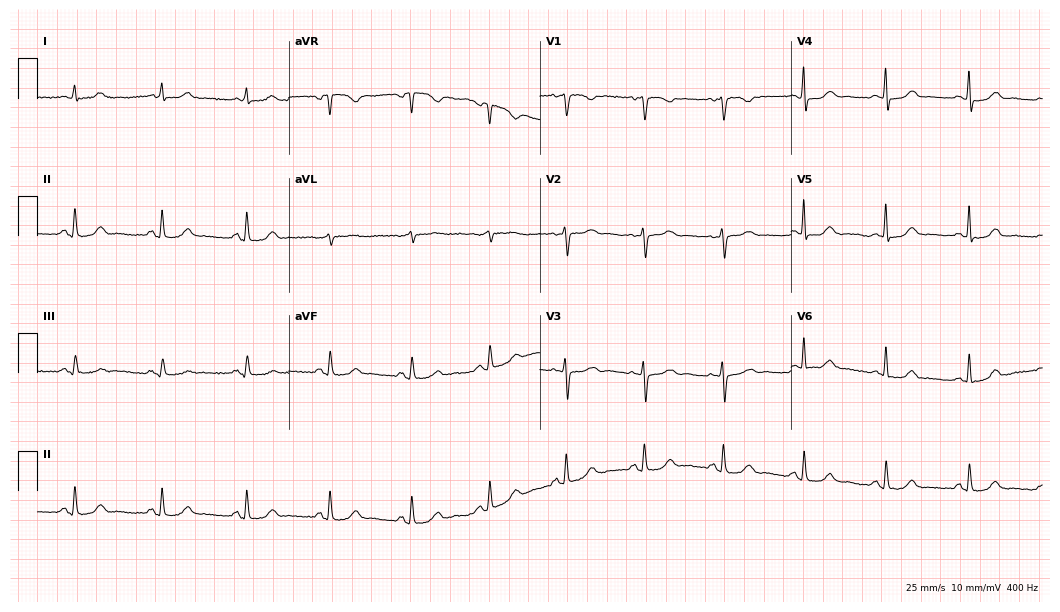
Resting 12-lead electrocardiogram (10.2-second recording at 400 Hz). Patient: a woman, 43 years old. Read as a normal ECG.